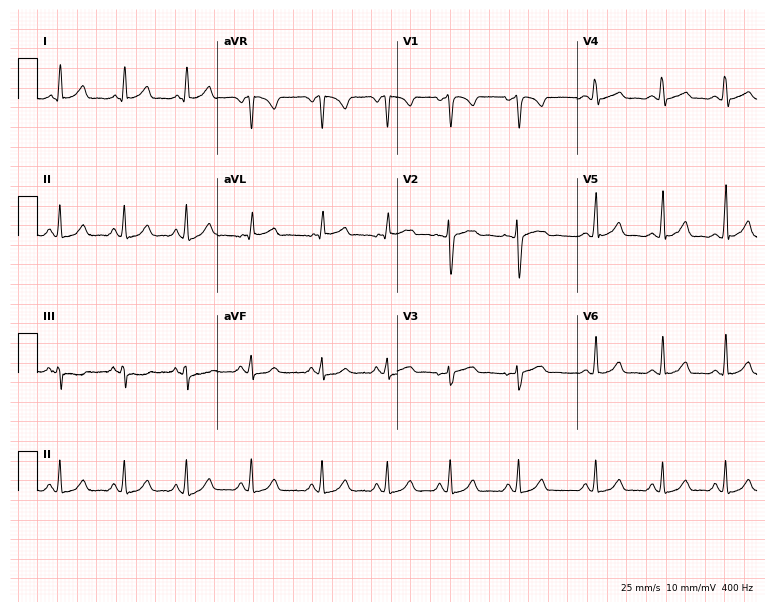
12-lead ECG from a woman, 23 years old (7.3-second recording at 400 Hz). Recorded interpretation: within normal limits.